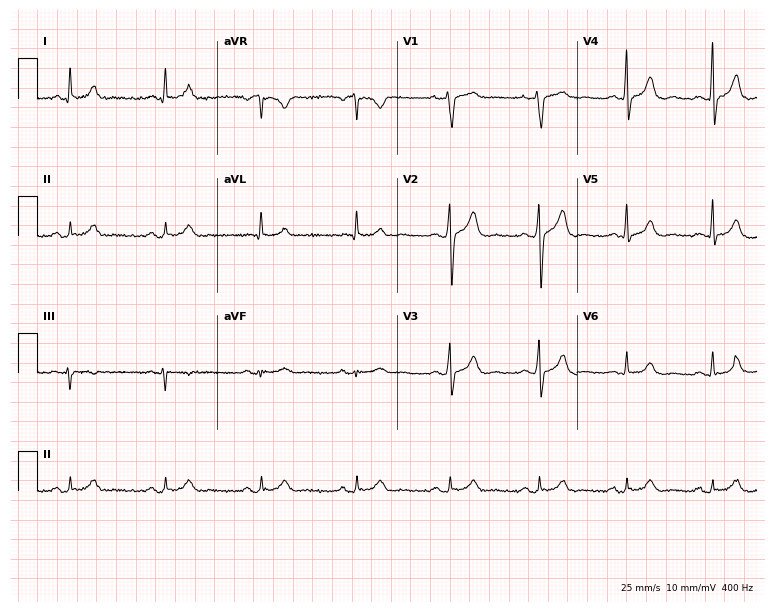
Resting 12-lead electrocardiogram. Patient: a male, 45 years old. Read as a normal ECG.